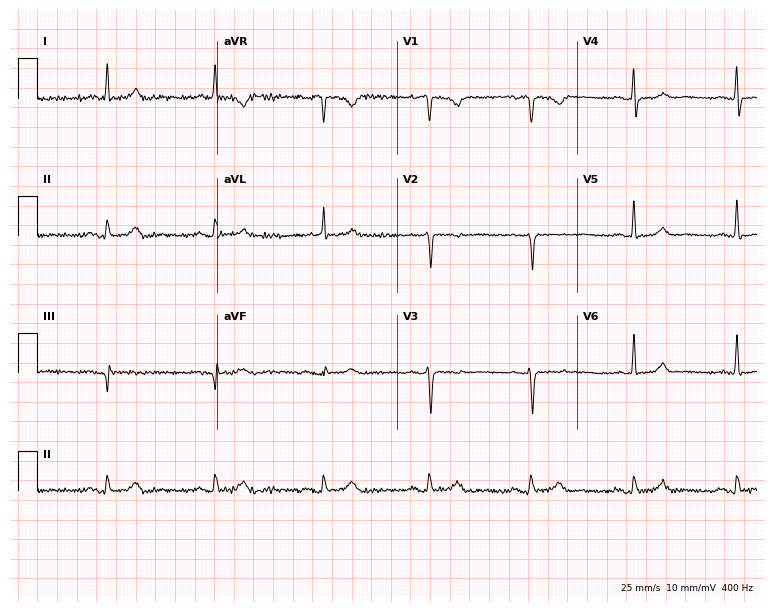
Standard 12-lead ECG recorded from a 78-year-old woman. None of these six findings is recorded: first-degree AV block, right bundle branch block (RBBB), left bundle branch block (LBBB), sinus bradycardia, atrial fibrillation (AF), sinus tachycardia.